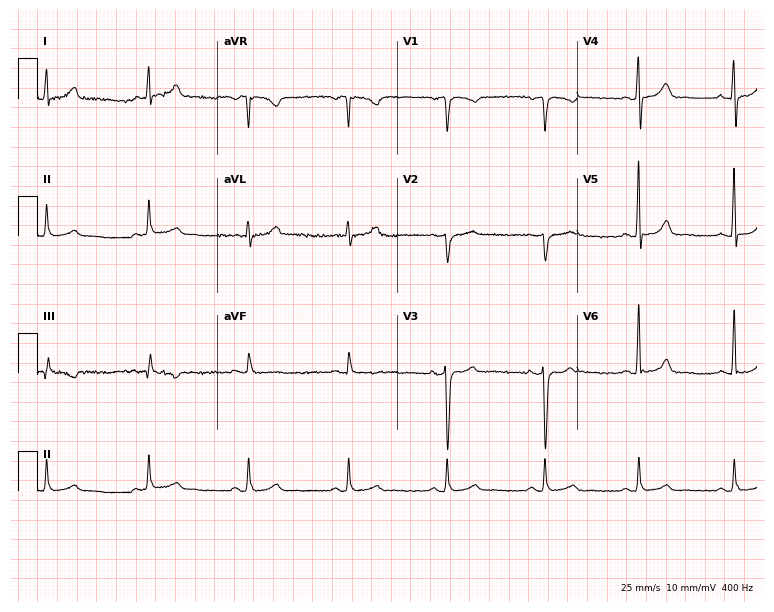
12-lead ECG from a male patient, 43 years old. Labelled as a normal ECG.